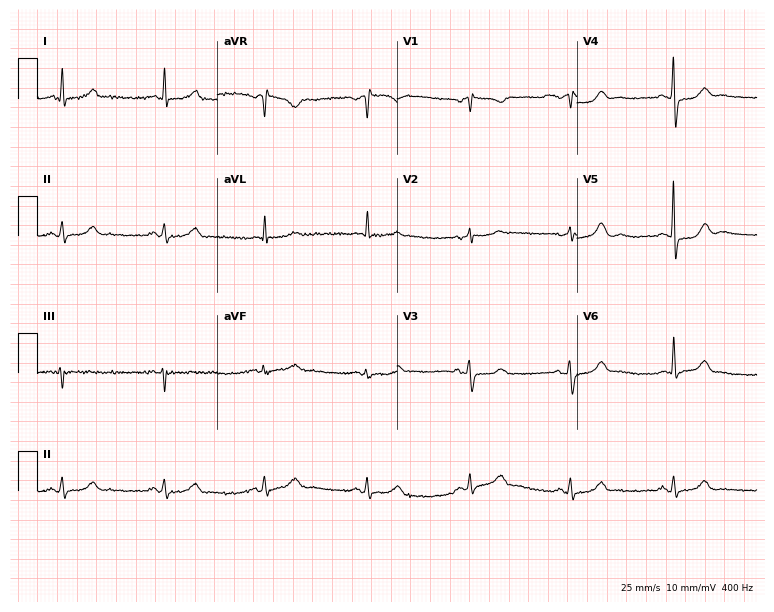
12-lead ECG (7.3-second recording at 400 Hz) from a female patient, 69 years old. Labelled as a normal ECG.